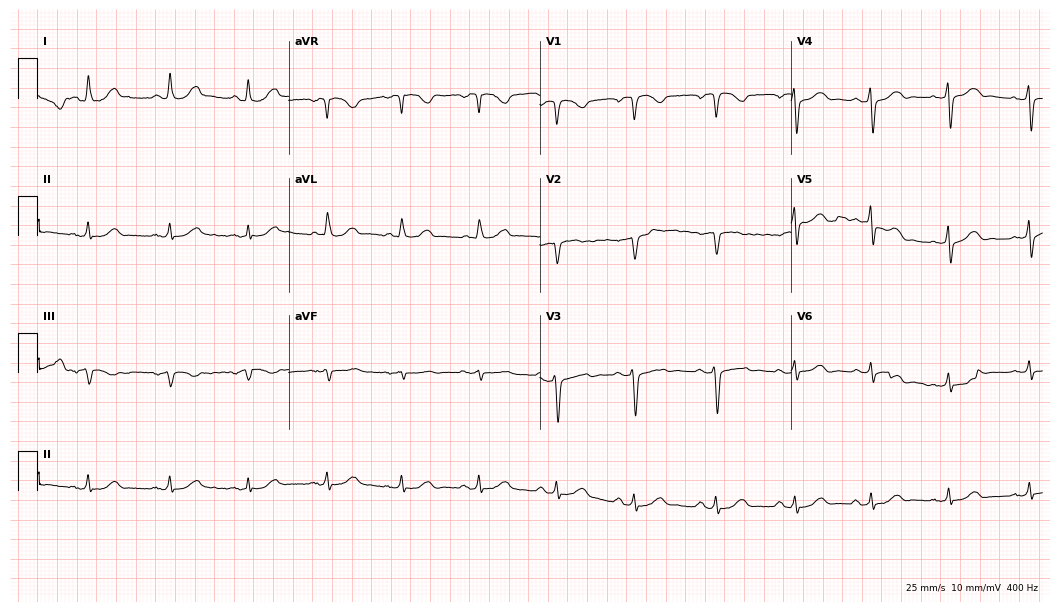
12-lead ECG (10.2-second recording at 400 Hz) from a female, 44 years old. Labelled as a normal ECG.